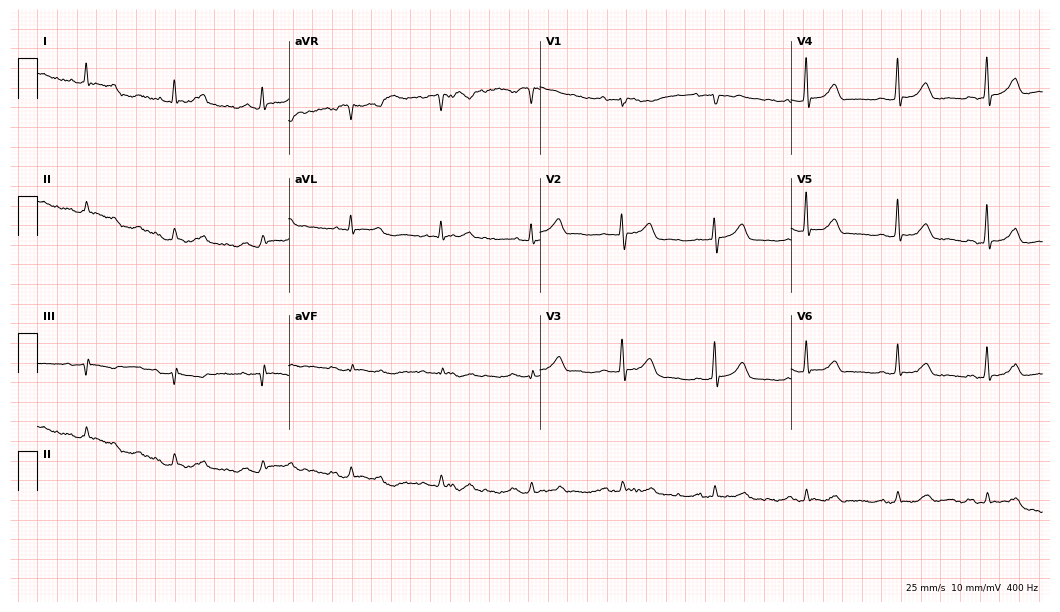
12-lead ECG from a 72-year-old male patient. Screened for six findings — first-degree AV block, right bundle branch block, left bundle branch block, sinus bradycardia, atrial fibrillation, sinus tachycardia — none is recorded.